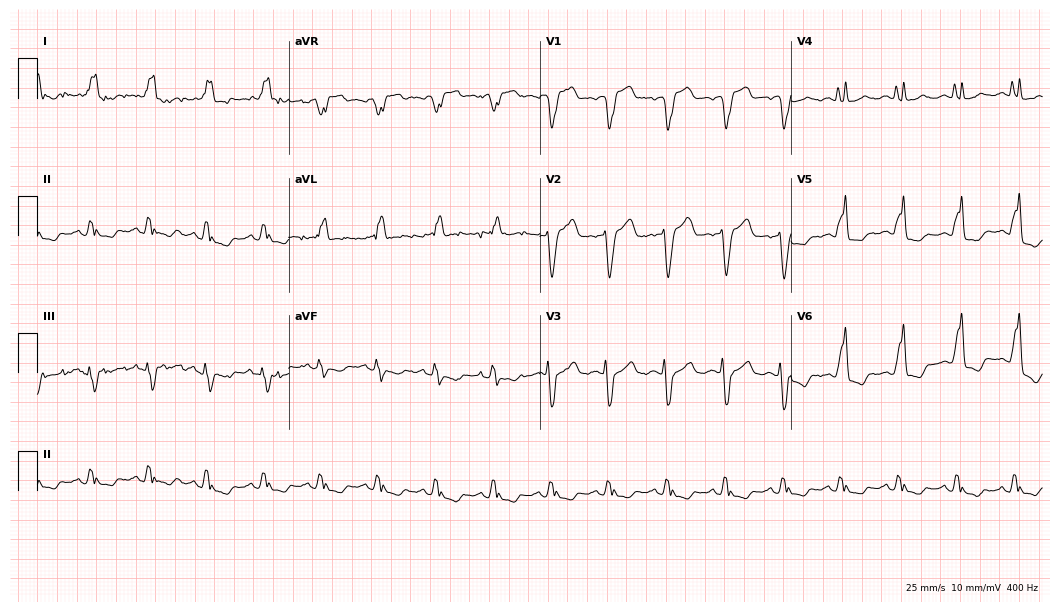
Electrocardiogram, an 83-year-old female patient. Interpretation includes left bundle branch block, sinus tachycardia (a sinus rate of 100 beats per minute or more).